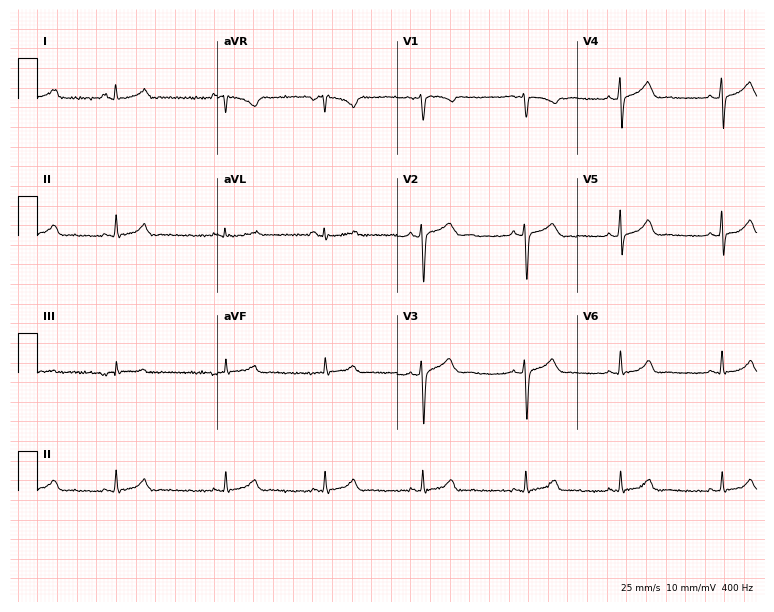
ECG (7.3-second recording at 400 Hz) — a female, 25 years old. Labelled as a normal ECG.